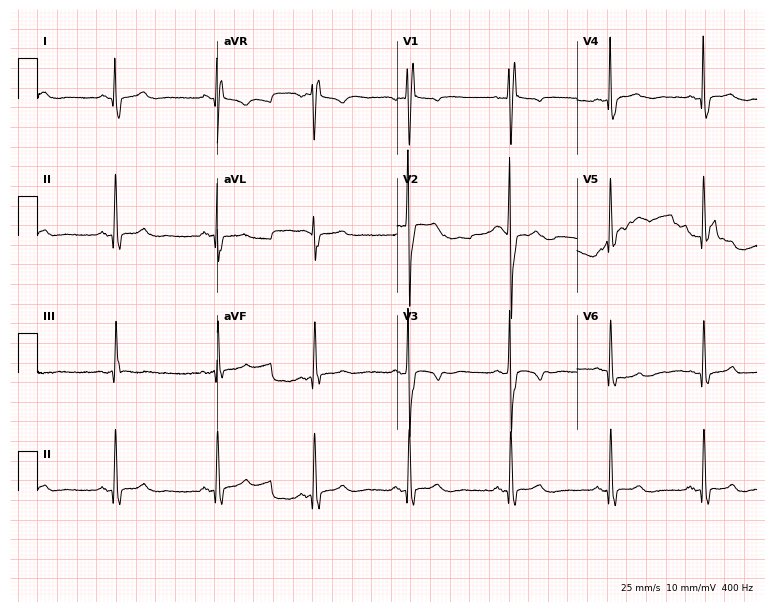
12-lead ECG (7.3-second recording at 400 Hz) from a woman, 20 years old. Screened for six findings — first-degree AV block, right bundle branch block, left bundle branch block, sinus bradycardia, atrial fibrillation, sinus tachycardia — none is recorded.